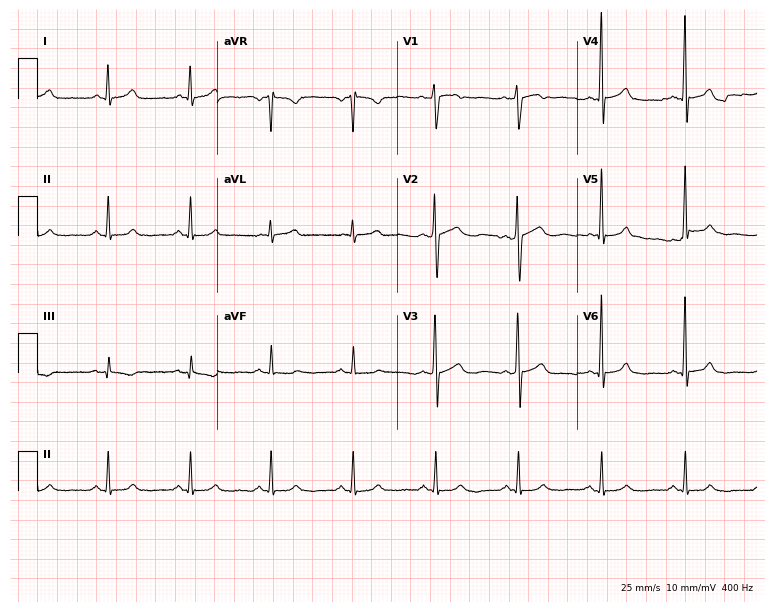
ECG (7.3-second recording at 400 Hz) — a male patient, 41 years old. Screened for six findings — first-degree AV block, right bundle branch block (RBBB), left bundle branch block (LBBB), sinus bradycardia, atrial fibrillation (AF), sinus tachycardia — none is recorded.